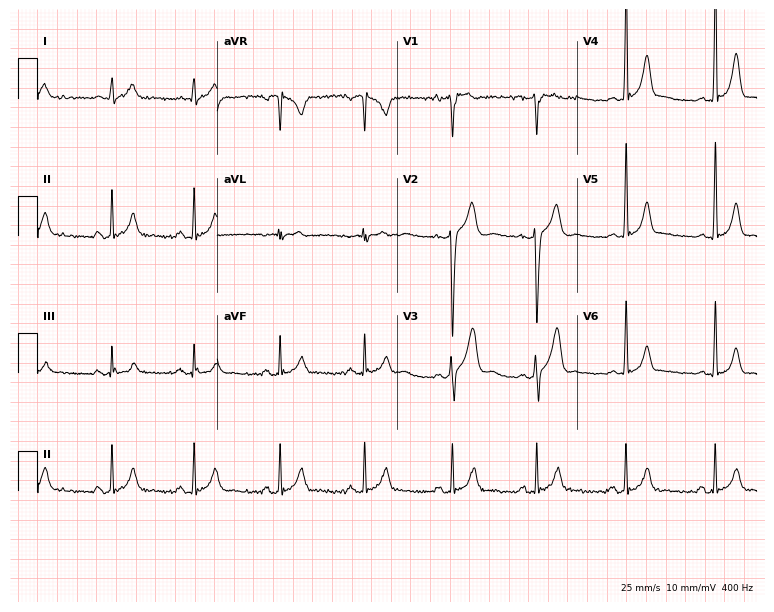
12-lead ECG from a male, 21 years old. Recorded interpretation: within normal limits.